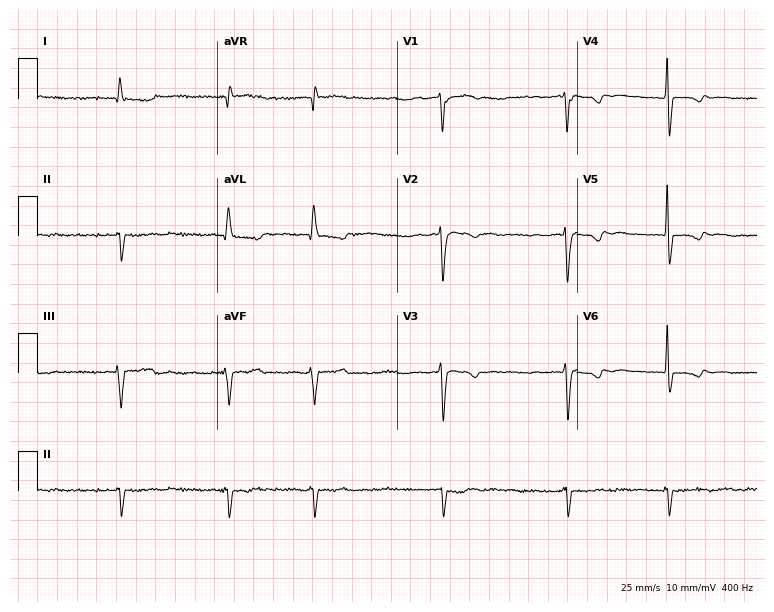
ECG (7.3-second recording at 400 Hz) — a female patient, 63 years old. Findings include atrial fibrillation.